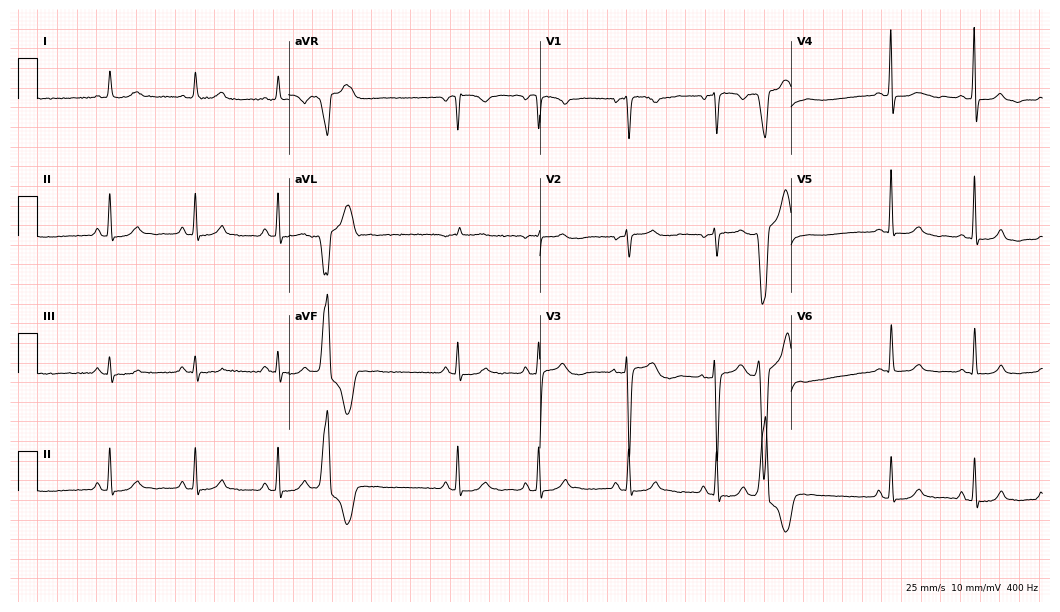
Standard 12-lead ECG recorded from a 43-year-old female patient (10.2-second recording at 400 Hz). None of these six findings is recorded: first-degree AV block, right bundle branch block (RBBB), left bundle branch block (LBBB), sinus bradycardia, atrial fibrillation (AF), sinus tachycardia. Other findings, if any, are not listed.